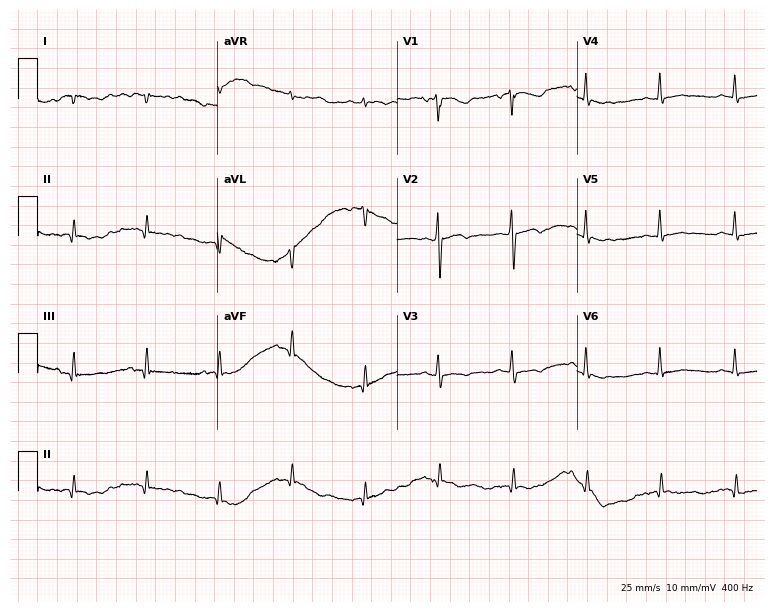
12-lead ECG from a female patient, 52 years old (7.3-second recording at 400 Hz). No first-degree AV block, right bundle branch block, left bundle branch block, sinus bradycardia, atrial fibrillation or sinus tachycardia recorded for this tracing. Only these six findings were labelled.